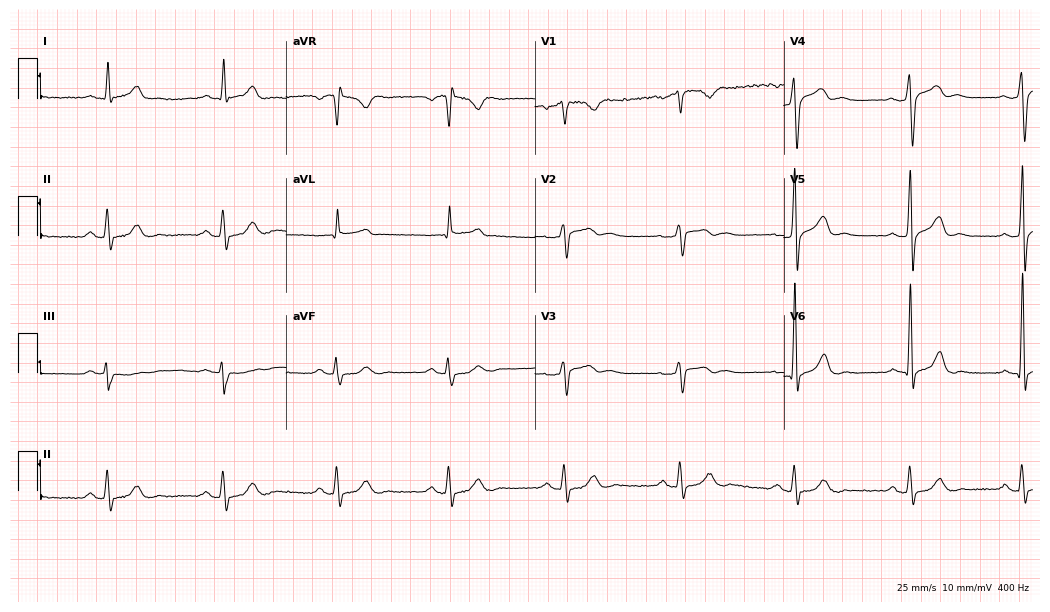
Electrocardiogram, a 65-year-old man. Of the six screened findings (first-degree AV block, right bundle branch block, left bundle branch block, sinus bradycardia, atrial fibrillation, sinus tachycardia), none is recorded. Only these six findings were labelled.